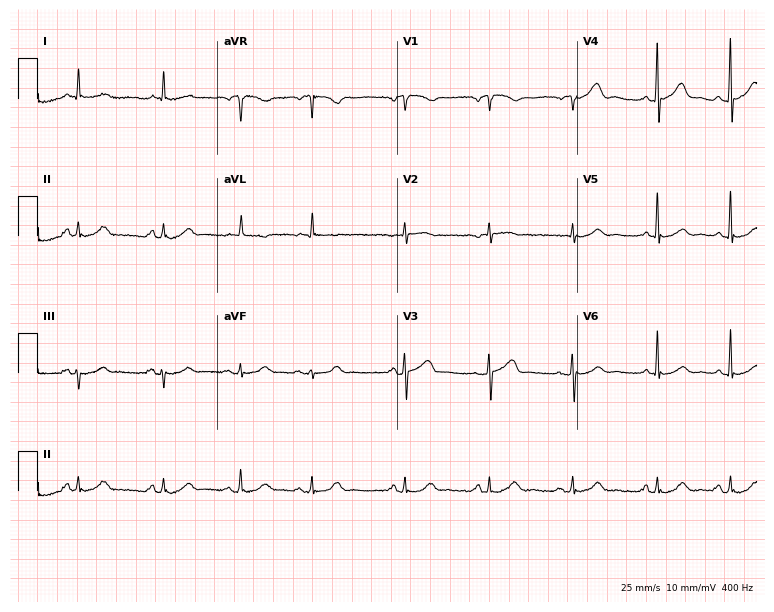
Electrocardiogram (7.3-second recording at 400 Hz), a male, 85 years old. Overall reading on record: normal ECG.